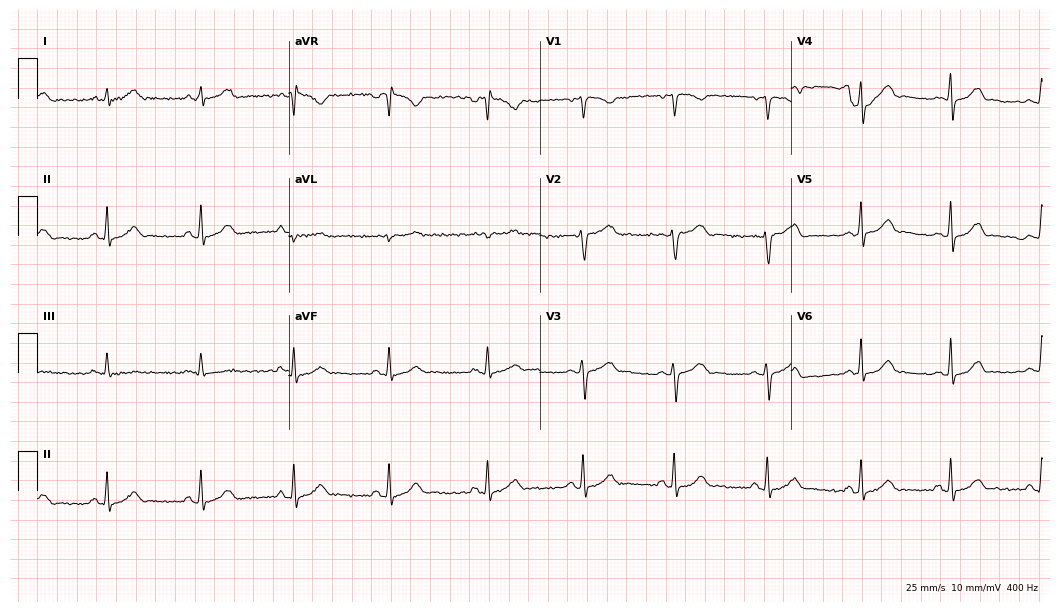
Electrocardiogram (10.2-second recording at 400 Hz), a 25-year-old female. Overall reading on record: normal ECG.